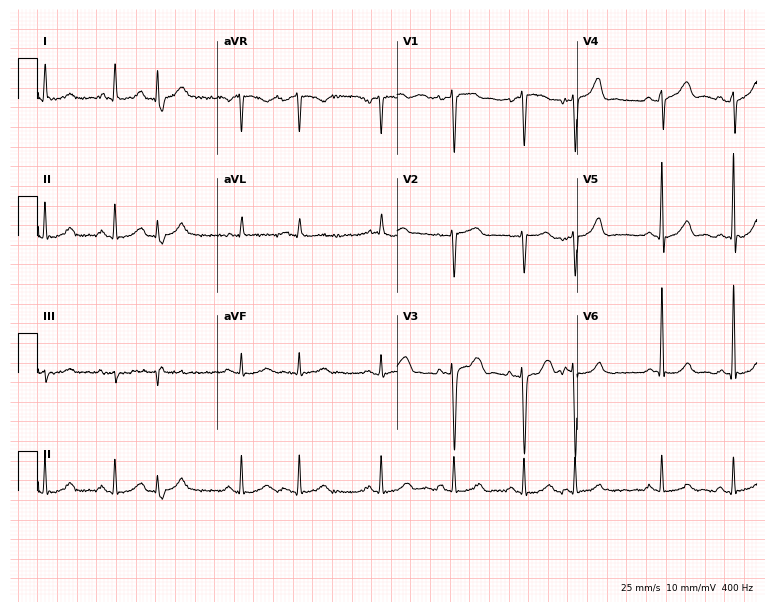
12-lead ECG from a 68-year-old male. Labelled as a normal ECG.